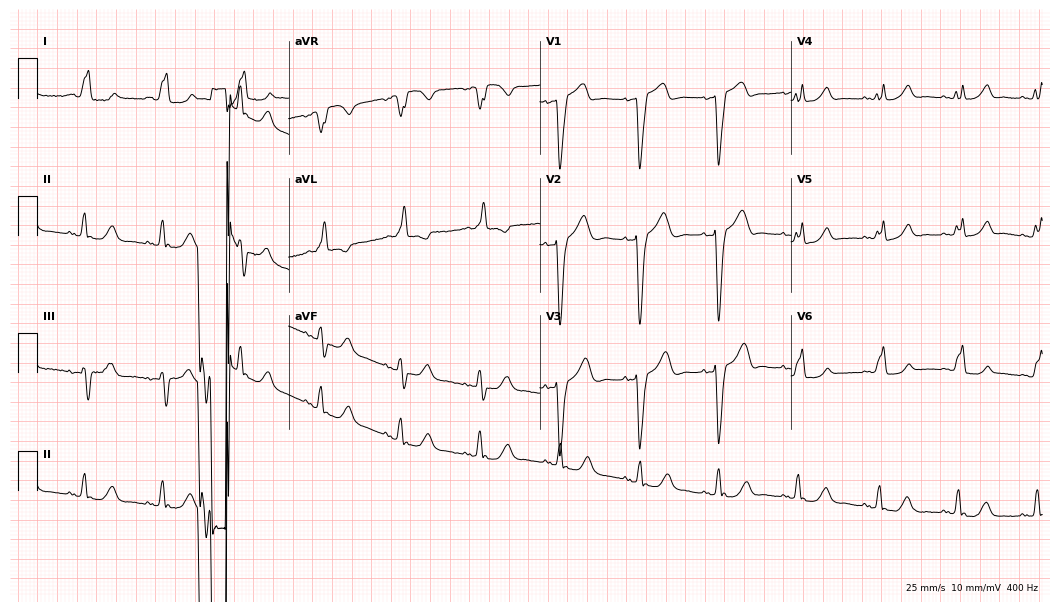
ECG — a 75-year-old female. Screened for six findings — first-degree AV block, right bundle branch block, left bundle branch block, sinus bradycardia, atrial fibrillation, sinus tachycardia — none is recorded.